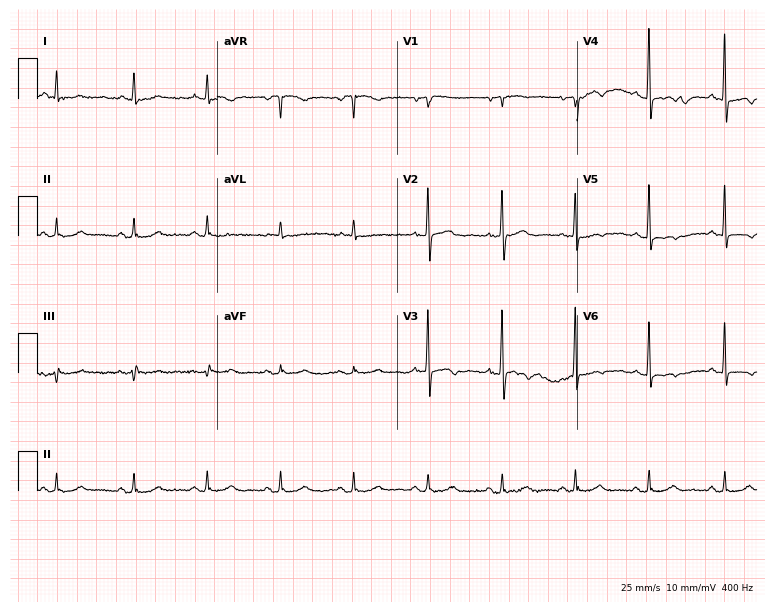
Standard 12-lead ECG recorded from a woman, 72 years old. Read as a normal ECG.